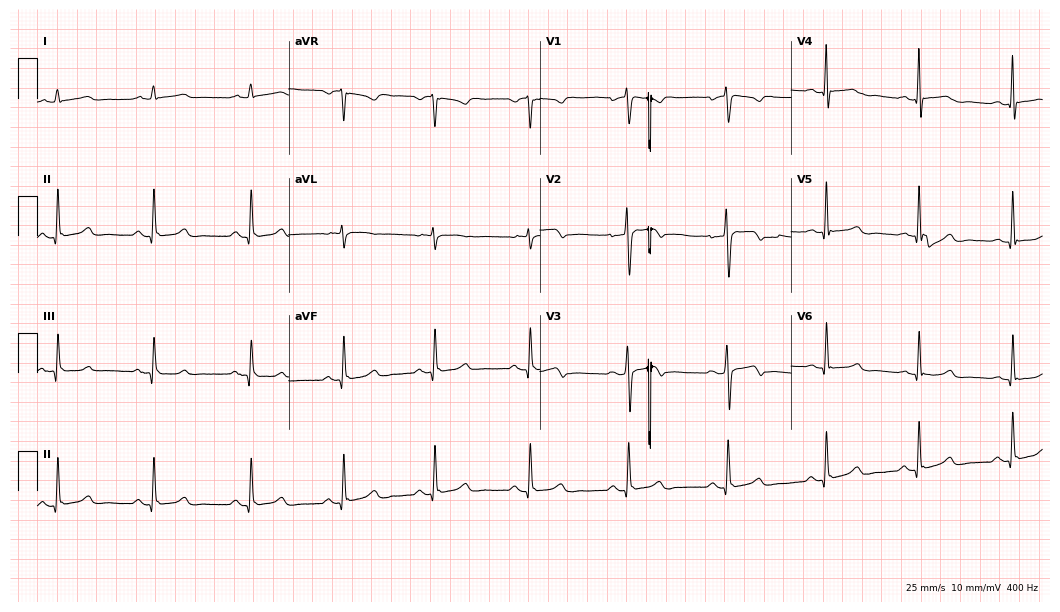
12-lead ECG from a woman, 48 years old. Recorded interpretation: within normal limits.